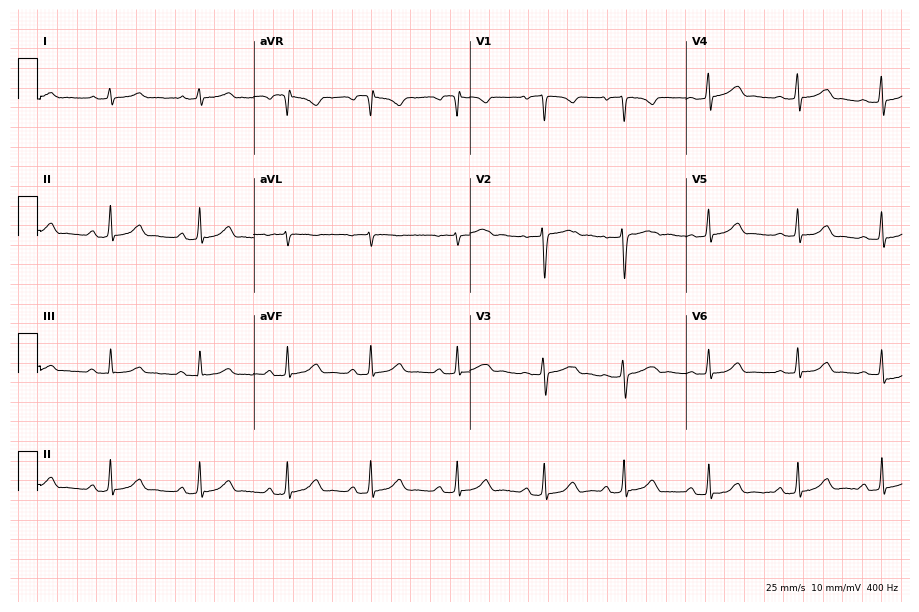
12-lead ECG from a 30-year-old female (8.8-second recording at 400 Hz). Recorded interpretation: within normal limits.